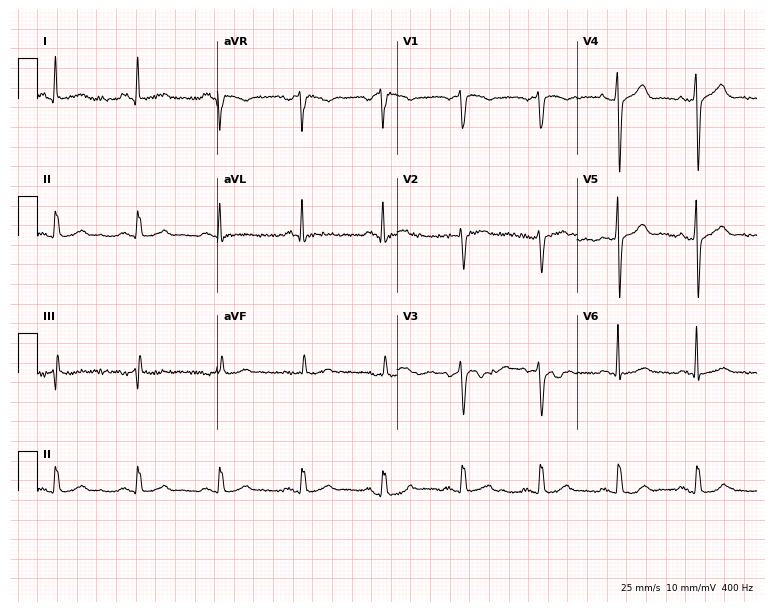
12-lead ECG from a 48-year-old male patient. No first-degree AV block, right bundle branch block, left bundle branch block, sinus bradycardia, atrial fibrillation or sinus tachycardia recorded for this tracing. Other findings, if any, are not listed.